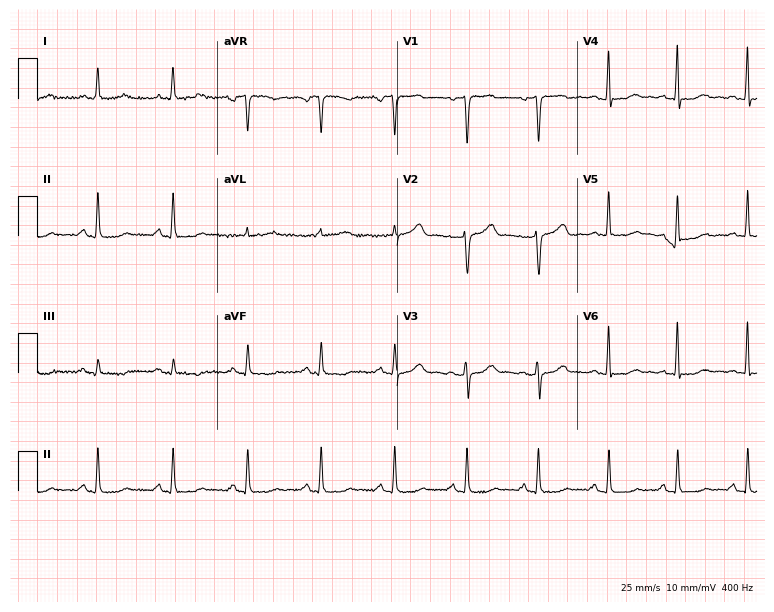
Standard 12-lead ECG recorded from a female, 52 years old. Read as a normal ECG.